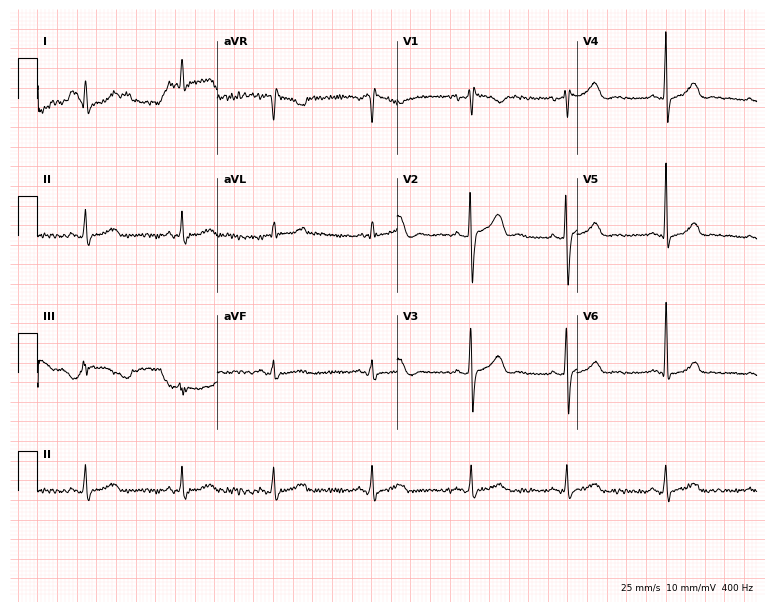
ECG (7.3-second recording at 400 Hz) — a female, 30 years old. Screened for six findings — first-degree AV block, right bundle branch block, left bundle branch block, sinus bradycardia, atrial fibrillation, sinus tachycardia — none is recorded.